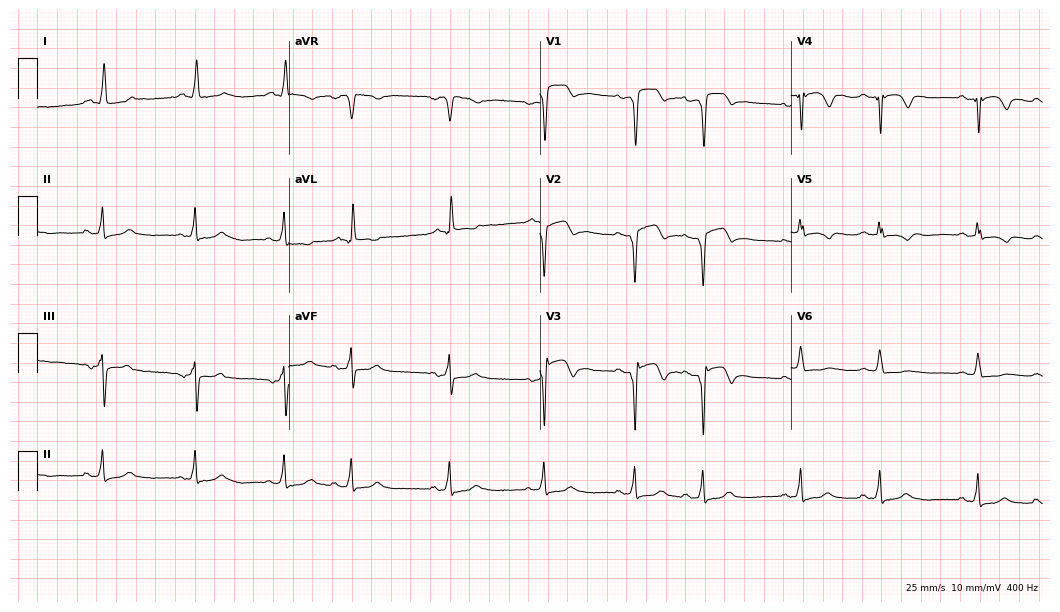
12-lead ECG from a 75-year-old male patient (10.2-second recording at 400 Hz). No first-degree AV block, right bundle branch block, left bundle branch block, sinus bradycardia, atrial fibrillation or sinus tachycardia recorded for this tracing. Findings outside these six are not listed.